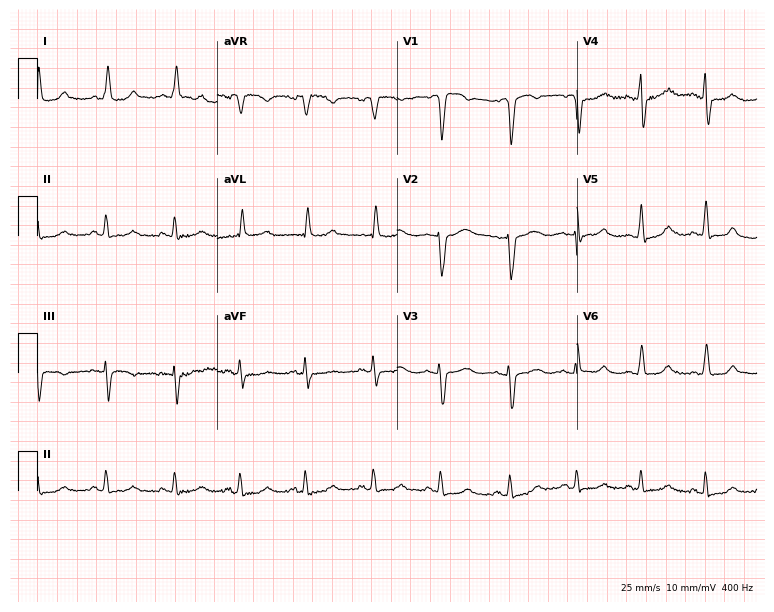
Standard 12-lead ECG recorded from a female patient, 65 years old. Read as a normal ECG.